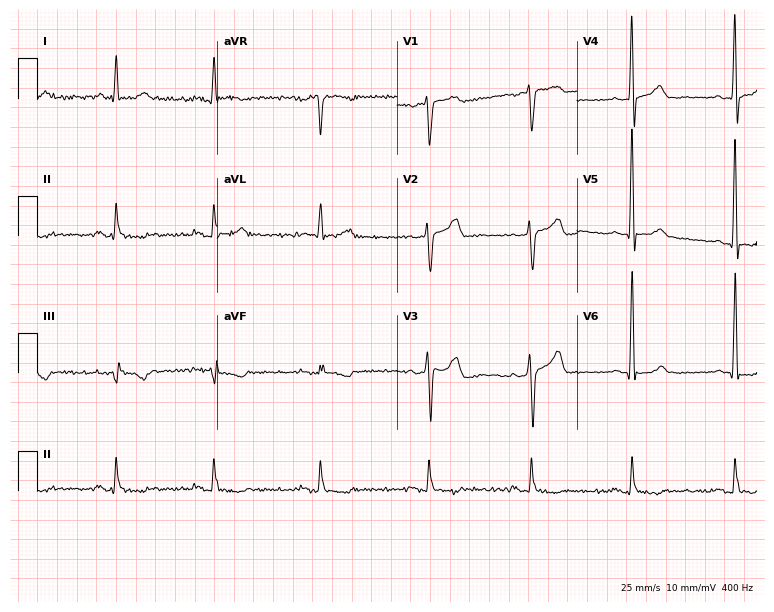
ECG — a man, 56 years old. Screened for six findings — first-degree AV block, right bundle branch block (RBBB), left bundle branch block (LBBB), sinus bradycardia, atrial fibrillation (AF), sinus tachycardia — none is recorded. Findings outside these six are not listed.